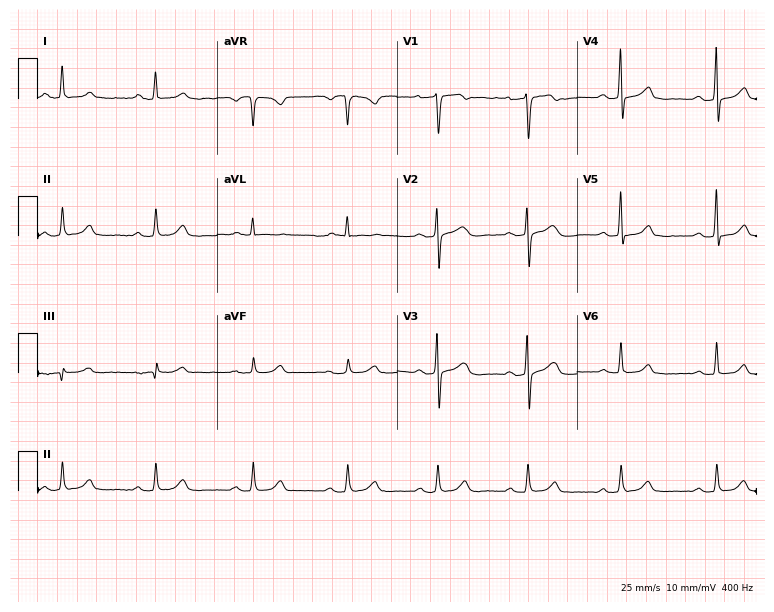
ECG — a female, 49 years old. Screened for six findings — first-degree AV block, right bundle branch block, left bundle branch block, sinus bradycardia, atrial fibrillation, sinus tachycardia — none is recorded. Other findings, if any, are not listed.